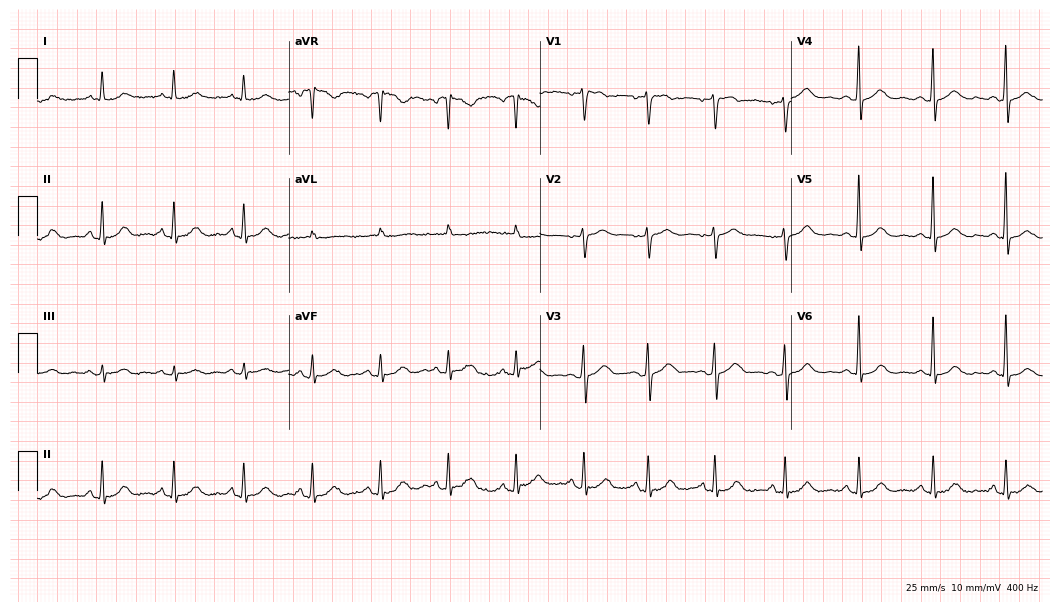
12-lead ECG (10.2-second recording at 400 Hz) from a 59-year-old woman. Labelled as a normal ECG.